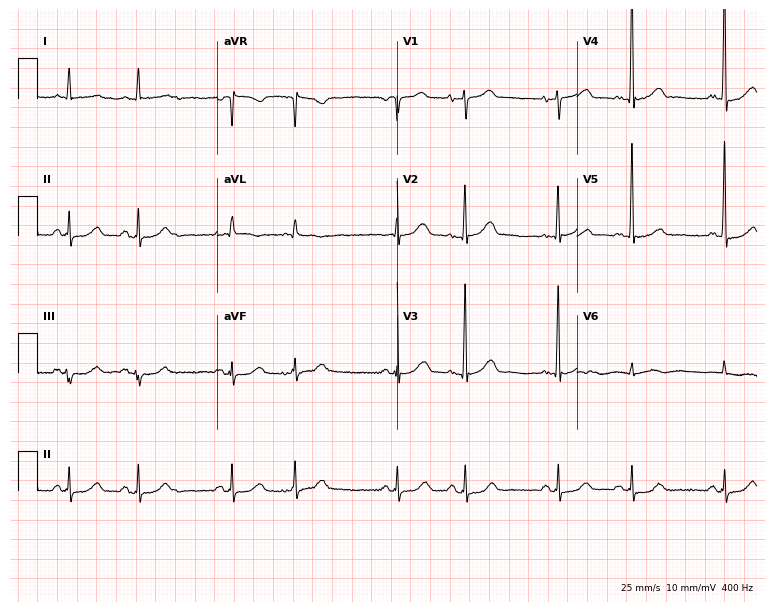
ECG (7.3-second recording at 400 Hz) — a female patient, 78 years old. Screened for six findings — first-degree AV block, right bundle branch block (RBBB), left bundle branch block (LBBB), sinus bradycardia, atrial fibrillation (AF), sinus tachycardia — none is recorded.